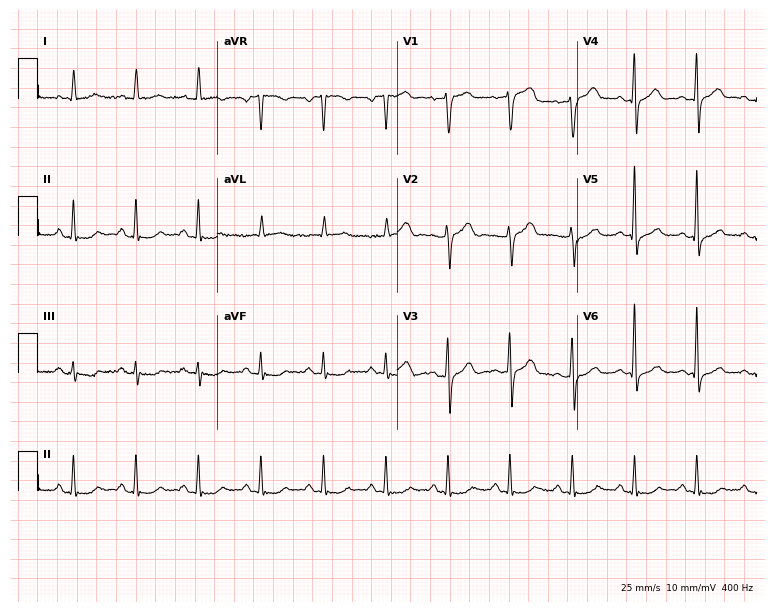
Electrocardiogram (7.3-second recording at 400 Hz), a male patient, 57 years old. Overall reading on record: normal ECG.